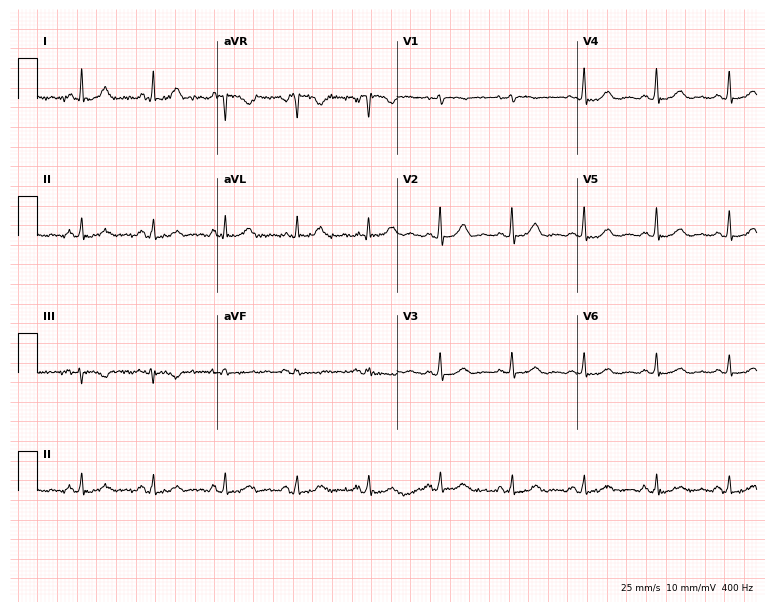
Standard 12-lead ECG recorded from an 85-year-old female patient (7.3-second recording at 400 Hz). Read as a normal ECG.